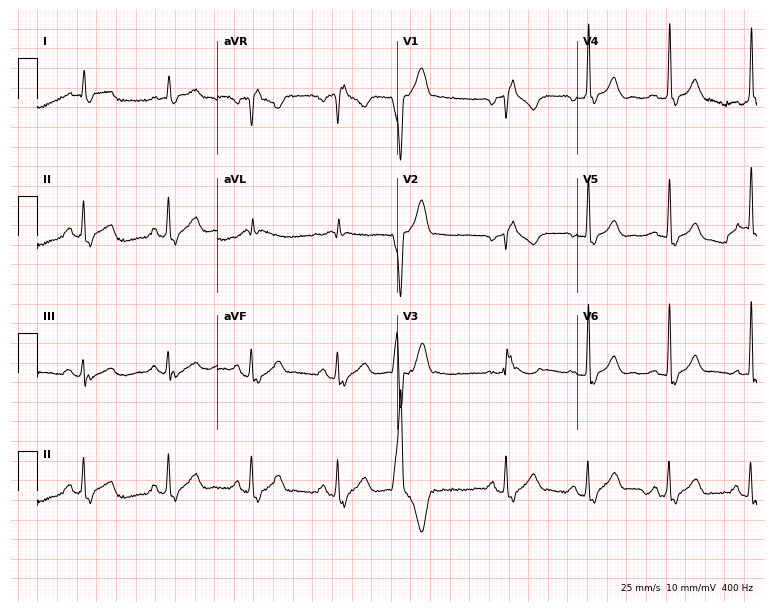
ECG — a 77-year-old man. Screened for six findings — first-degree AV block, right bundle branch block (RBBB), left bundle branch block (LBBB), sinus bradycardia, atrial fibrillation (AF), sinus tachycardia — none is recorded. Only these six findings were labelled.